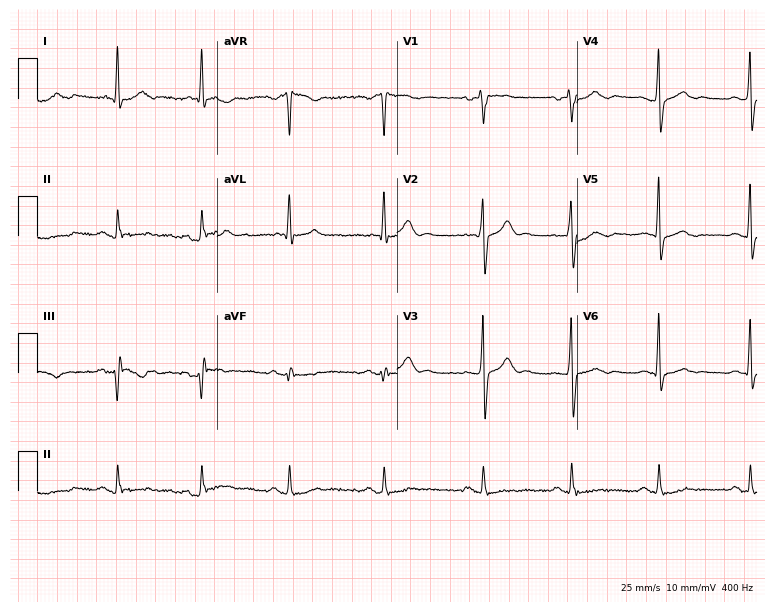
12-lead ECG from a male patient, 42 years old. Labelled as a normal ECG.